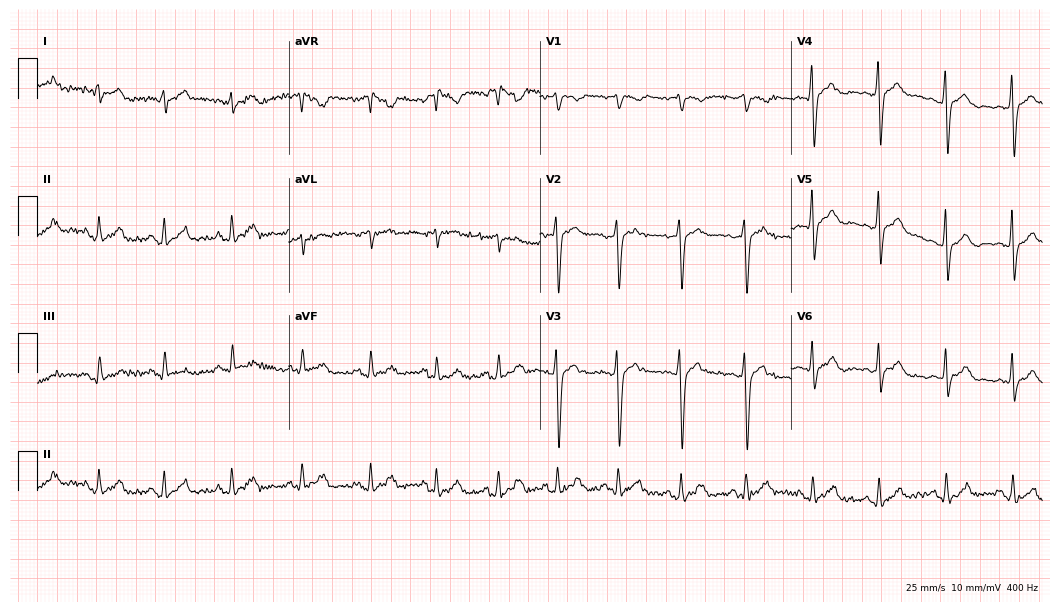
ECG (10.2-second recording at 400 Hz) — a male patient, 26 years old. Labelled as a normal ECG.